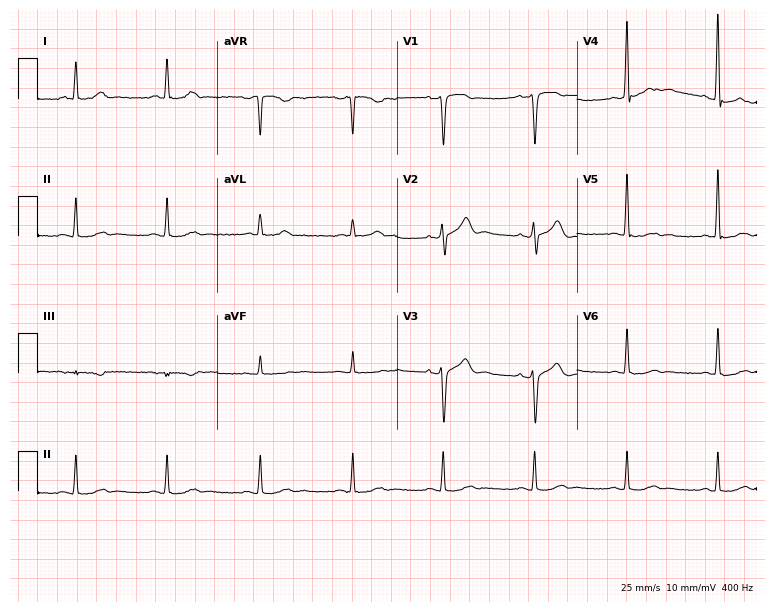
Standard 12-lead ECG recorded from a 55-year-old male (7.3-second recording at 400 Hz). None of these six findings is recorded: first-degree AV block, right bundle branch block, left bundle branch block, sinus bradycardia, atrial fibrillation, sinus tachycardia.